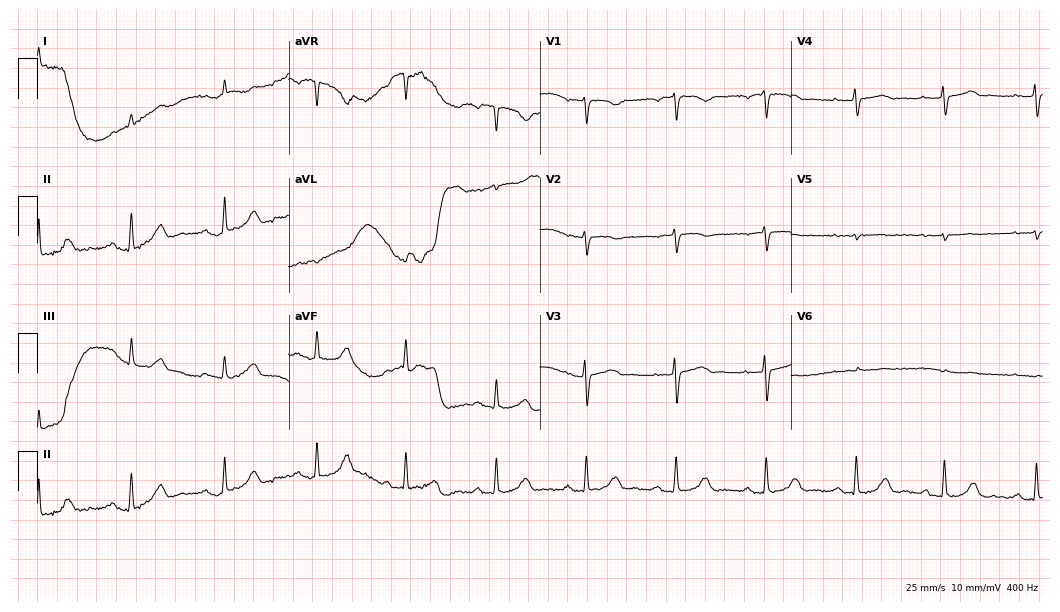
12-lead ECG from a female, 85 years old. No first-degree AV block, right bundle branch block, left bundle branch block, sinus bradycardia, atrial fibrillation or sinus tachycardia recorded for this tracing. Findings outside these six are not listed.